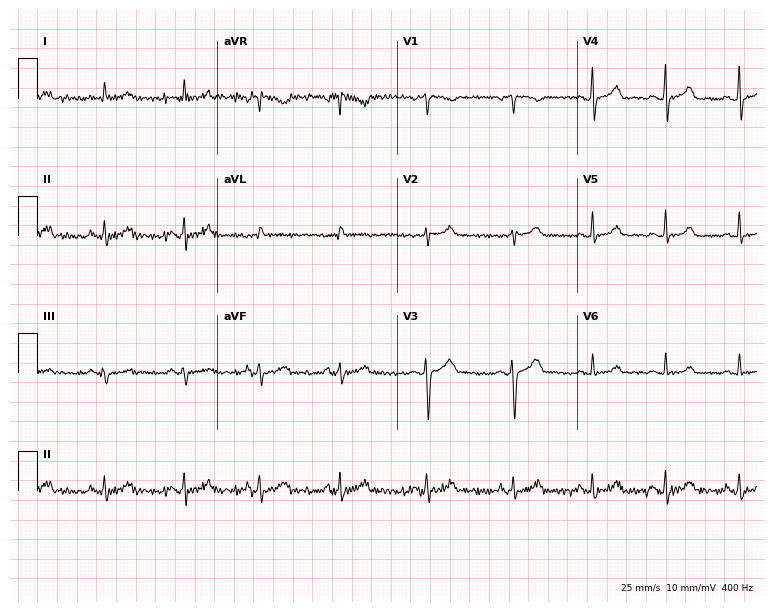
Electrocardiogram, a 29-year-old female patient. Of the six screened findings (first-degree AV block, right bundle branch block (RBBB), left bundle branch block (LBBB), sinus bradycardia, atrial fibrillation (AF), sinus tachycardia), none is recorded.